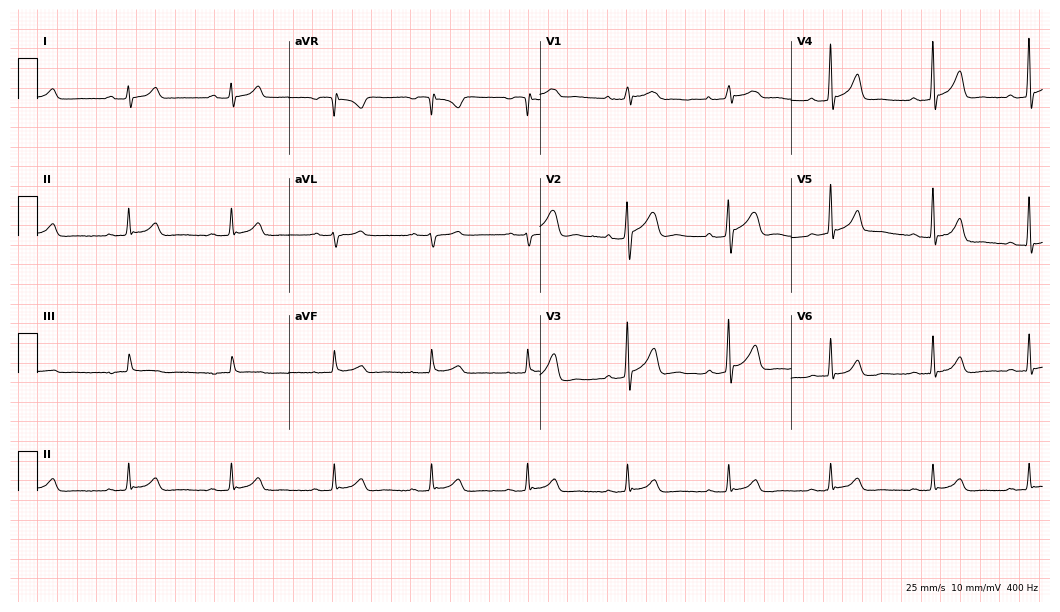
12-lead ECG from a man, 37 years old. Recorded interpretation: within normal limits.